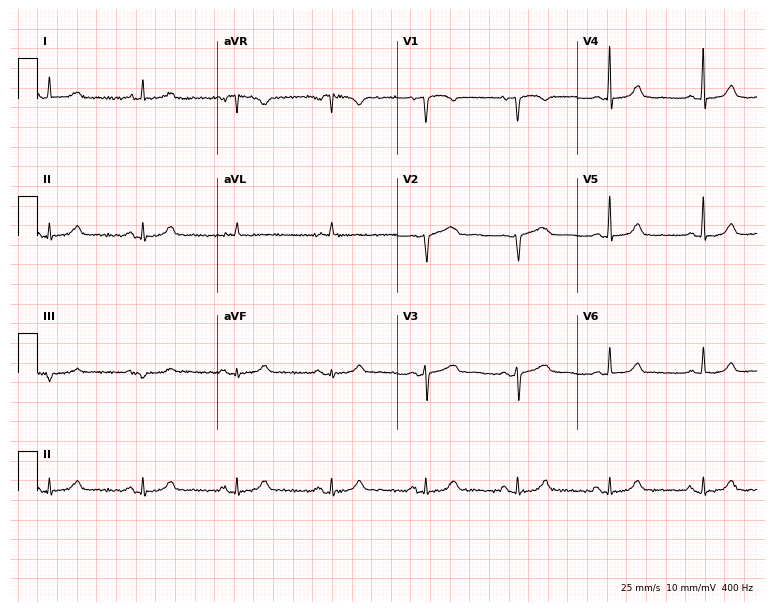
Standard 12-lead ECG recorded from a female, 73 years old (7.3-second recording at 400 Hz). None of these six findings is recorded: first-degree AV block, right bundle branch block, left bundle branch block, sinus bradycardia, atrial fibrillation, sinus tachycardia. Only these six findings were labelled.